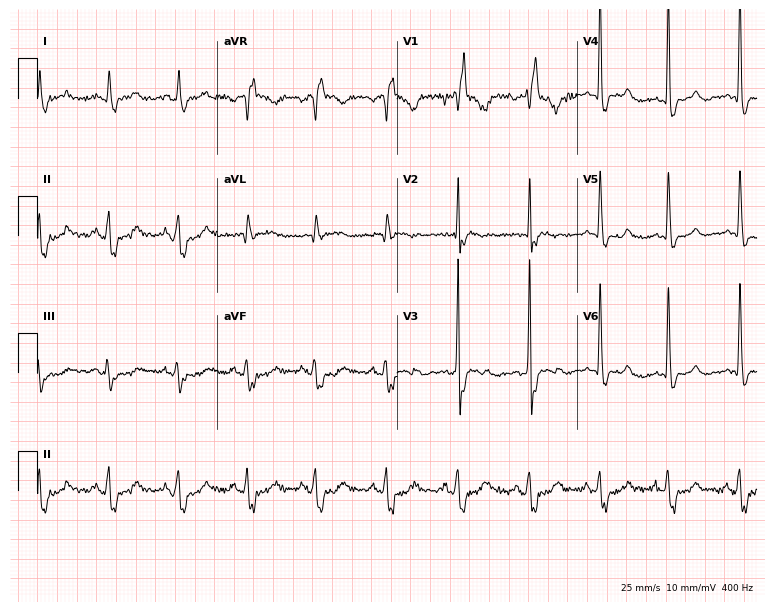
Resting 12-lead electrocardiogram. Patient: a 56-year-old male. The tracing shows right bundle branch block.